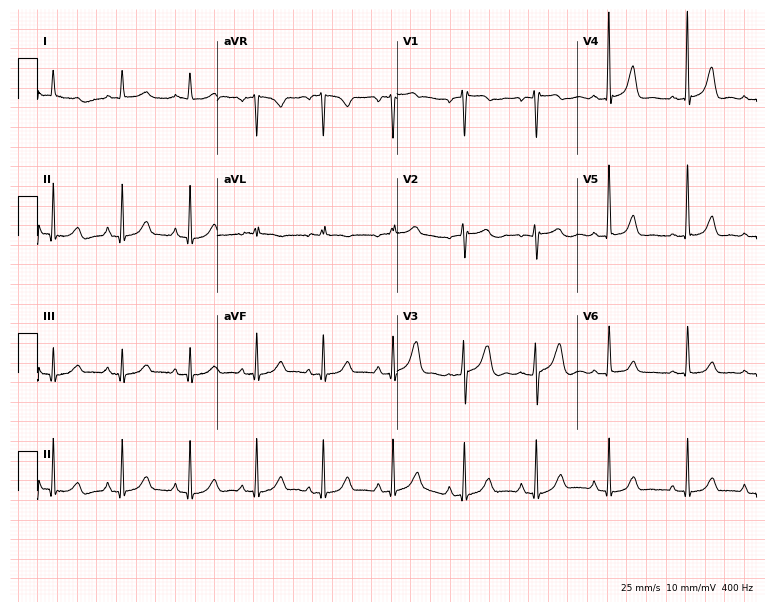
Electrocardiogram (7.3-second recording at 400 Hz), a 72-year-old woman. Of the six screened findings (first-degree AV block, right bundle branch block, left bundle branch block, sinus bradycardia, atrial fibrillation, sinus tachycardia), none is recorded. Other findings, if any, are not listed.